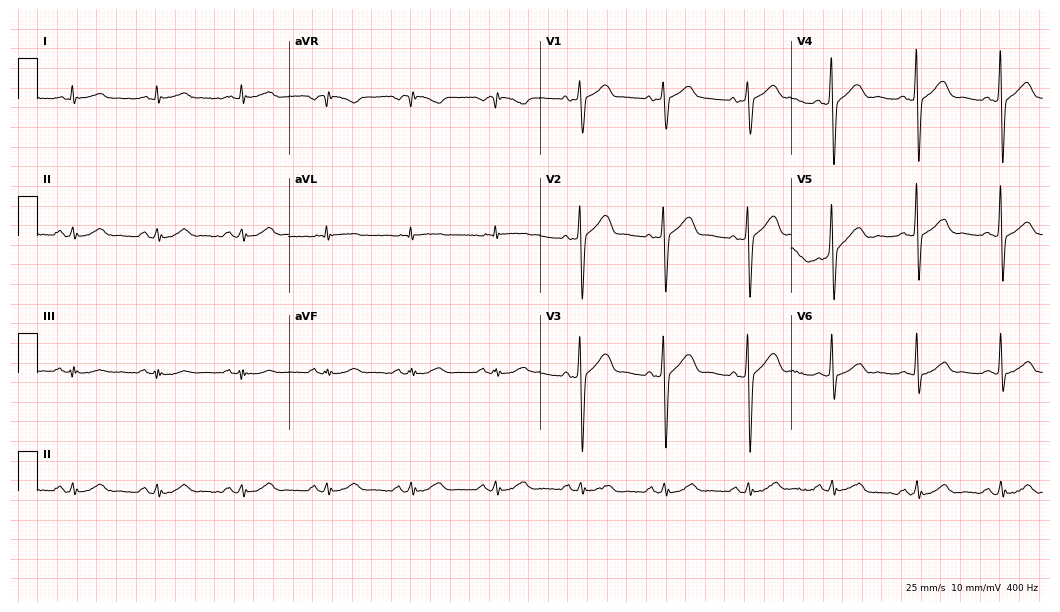
Resting 12-lead electrocardiogram. Patient: a male, 62 years old. None of these six findings is recorded: first-degree AV block, right bundle branch block, left bundle branch block, sinus bradycardia, atrial fibrillation, sinus tachycardia. Findings outside these six are not listed.